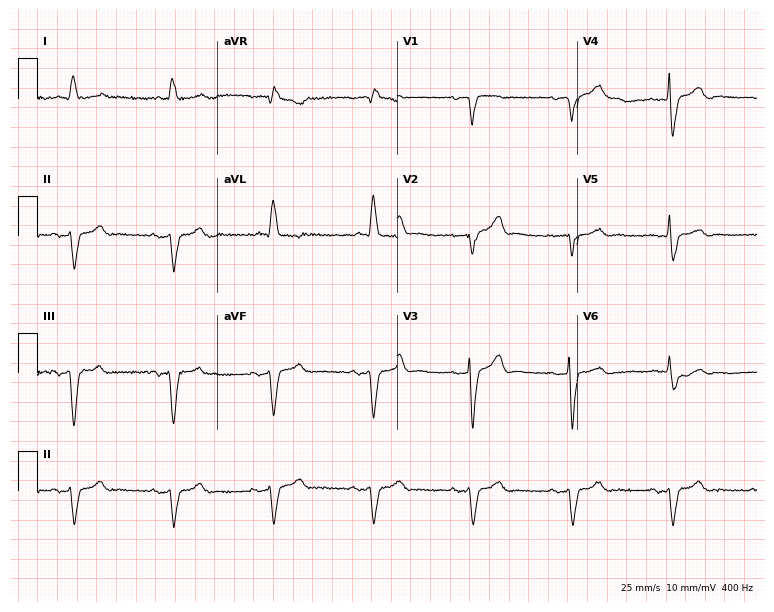
Resting 12-lead electrocardiogram. Patient: an 87-year-old male. None of these six findings is recorded: first-degree AV block, right bundle branch block, left bundle branch block, sinus bradycardia, atrial fibrillation, sinus tachycardia. Findings outside these six are not listed.